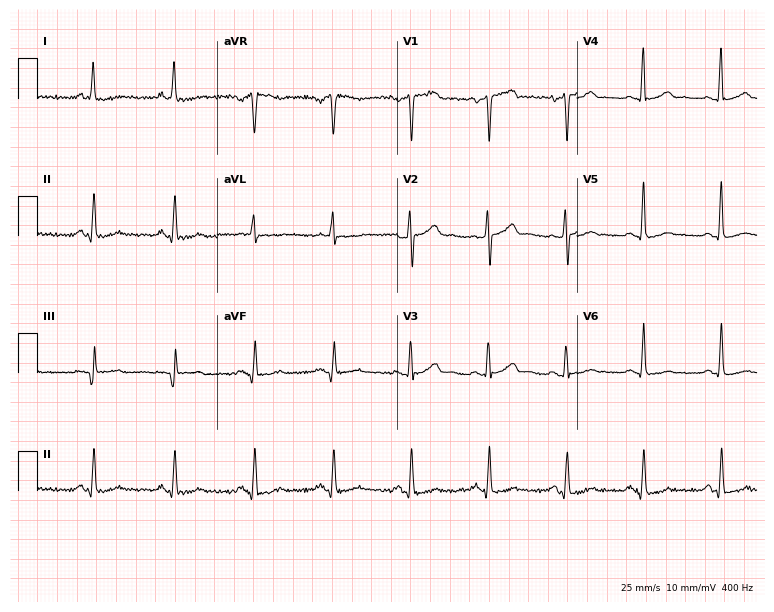
Standard 12-lead ECG recorded from a 46-year-old male. Read as a normal ECG.